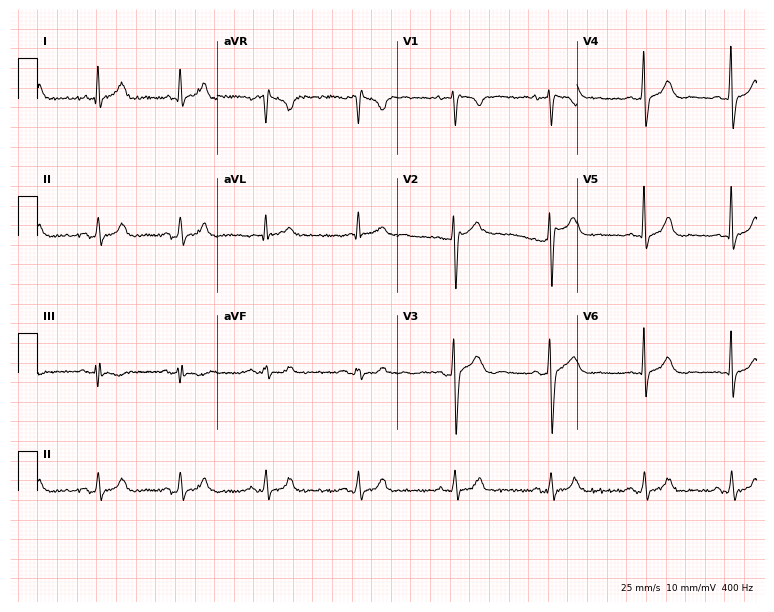
ECG — a 44-year-old male. Labelled as a normal ECG.